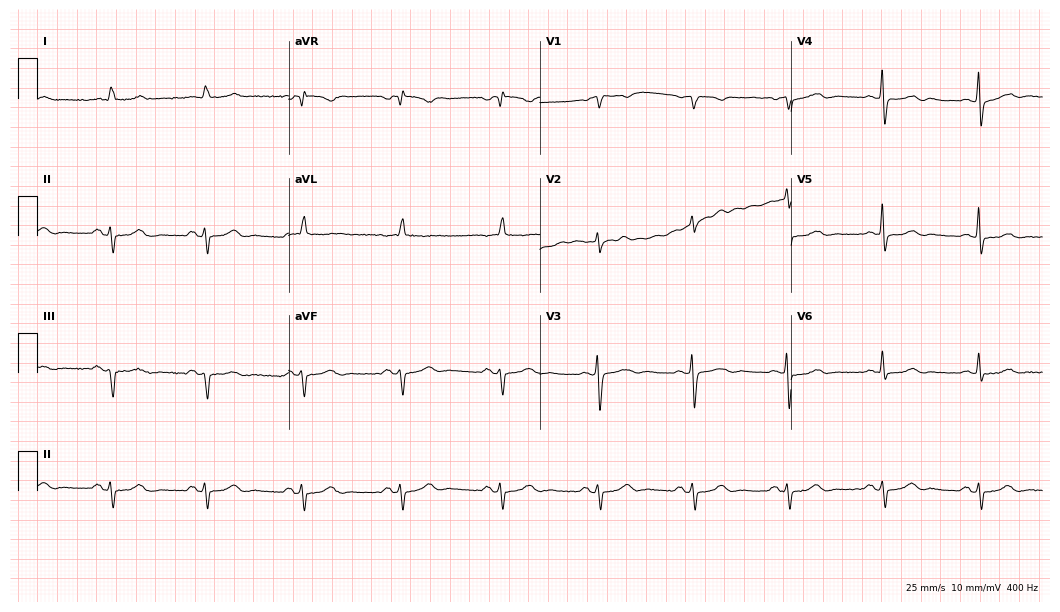
Electrocardiogram, a man, 78 years old. Of the six screened findings (first-degree AV block, right bundle branch block, left bundle branch block, sinus bradycardia, atrial fibrillation, sinus tachycardia), none is recorded. Only these six findings were labelled.